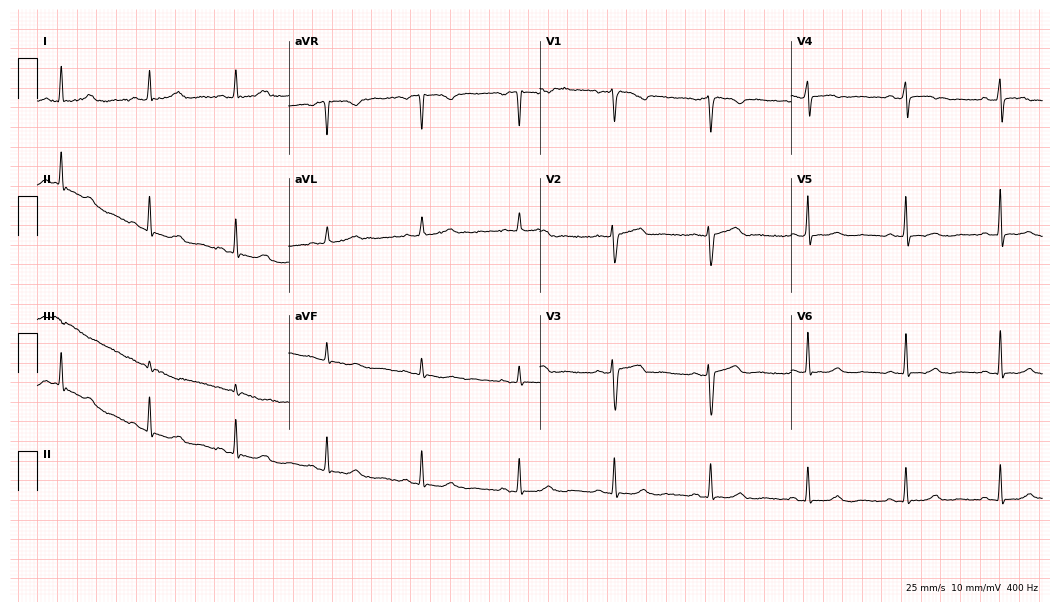
ECG — a woman, 53 years old. Labelled as a normal ECG.